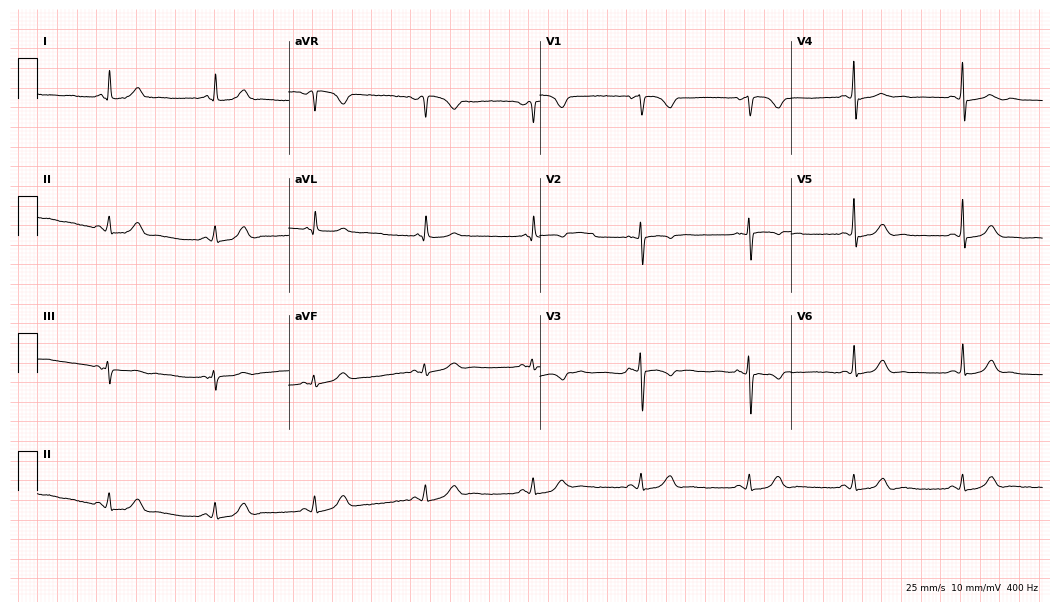
12-lead ECG from a 37-year-old female (10.2-second recording at 400 Hz). Recorded interpretation: within normal limits.